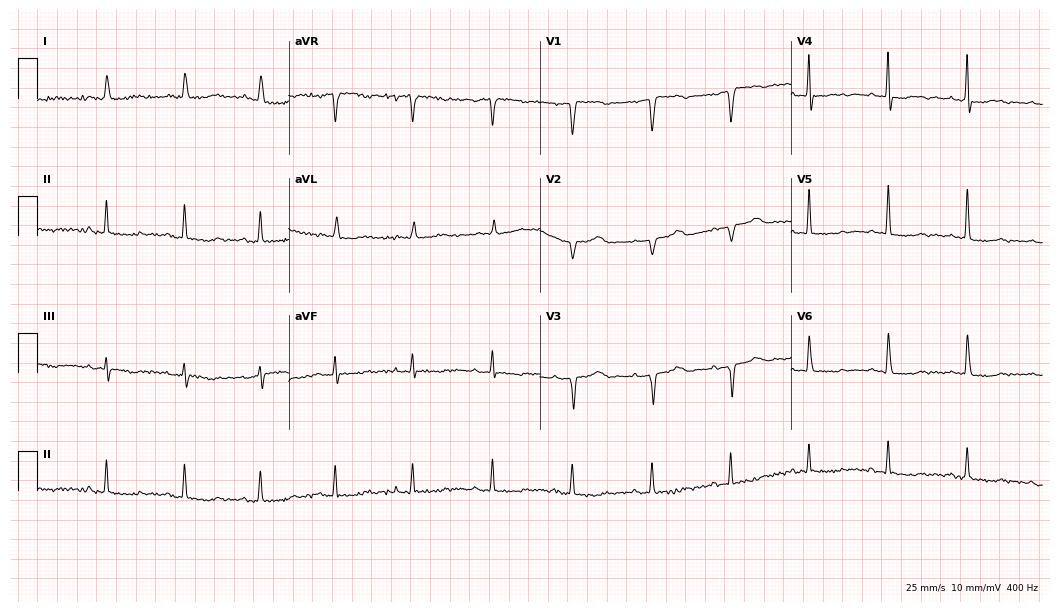
Standard 12-lead ECG recorded from a 69-year-old woman (10.2-second recording at 400 Hz). None of these six findings is recorded: first-degree AV block, right bundle branch block, left bundle branch block, sinus bradycardia, atrial fibrillation, sinus tachycardia.